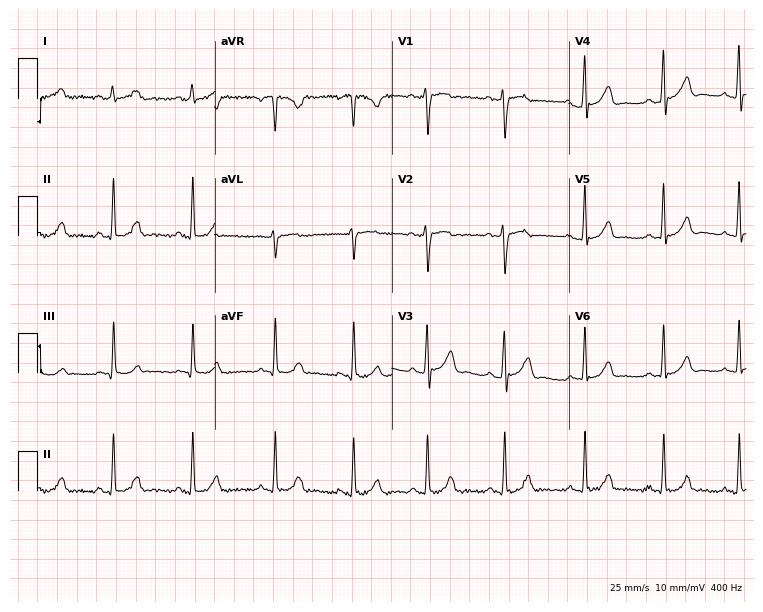
Electrocardiogram, a 19-year-old female patient. Overall reading on record: normal ECG.